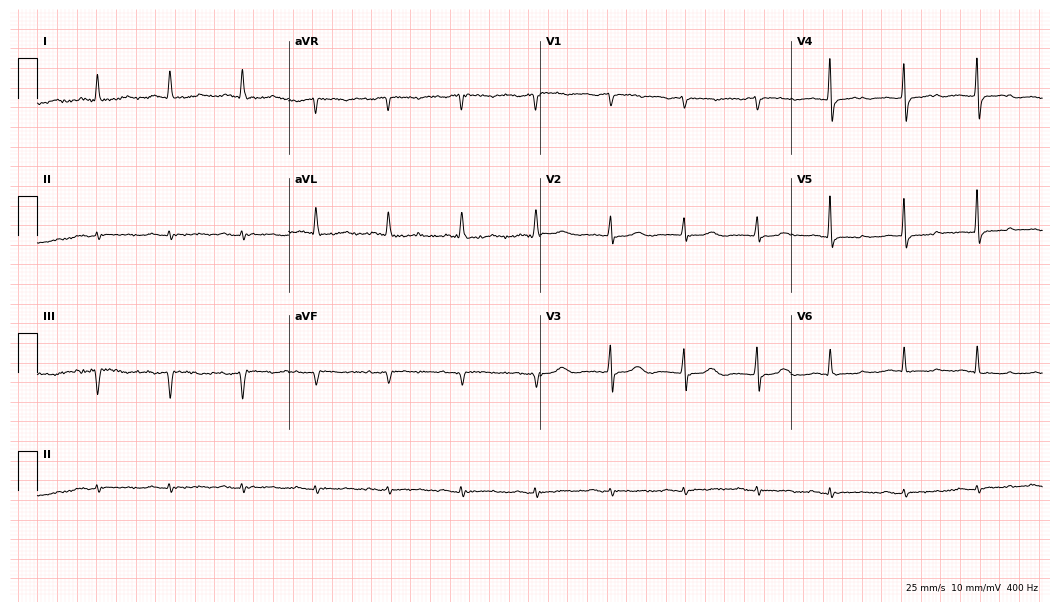
Standard 12-lead ECG recorded from an 82-year-old female (10.2-second recording at 400 Hz). None of these six findings is recorded: first-degree AV block, right bundle branch block, left bundle branch block, sinus bradycardia, atrial fibrillation, sinus tachycardia. Only these six findings were labelled.